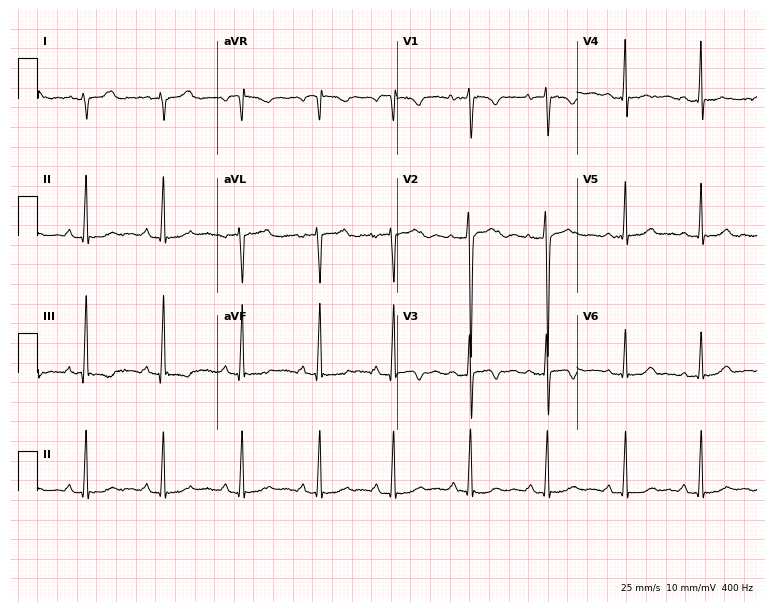
Electrocardiogram, a female patient, 18 years old. Overall reading on record: normal ECG.